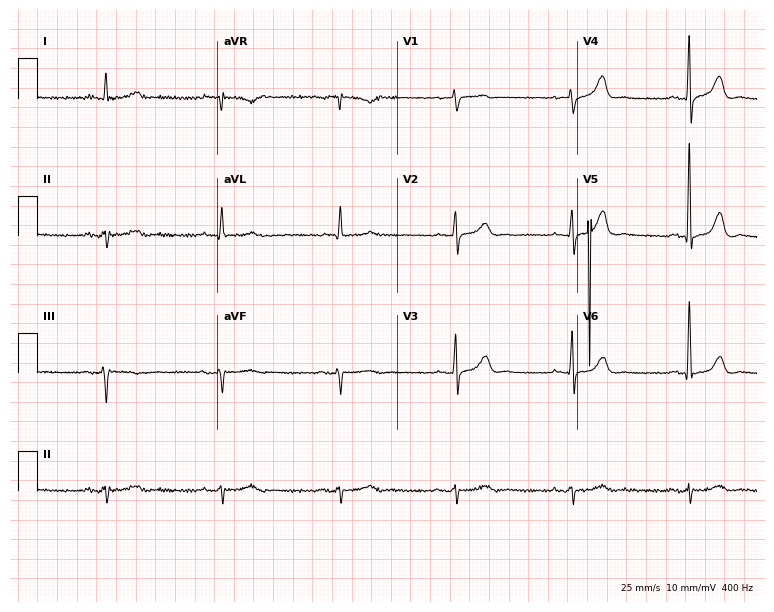
Standard 12-lead ECG recorded from a male, 81 years old (7.3-second recording at 400 Hz). The tracing shows sinus bradycardia (a sinus rate of 50 beats per minute or less).